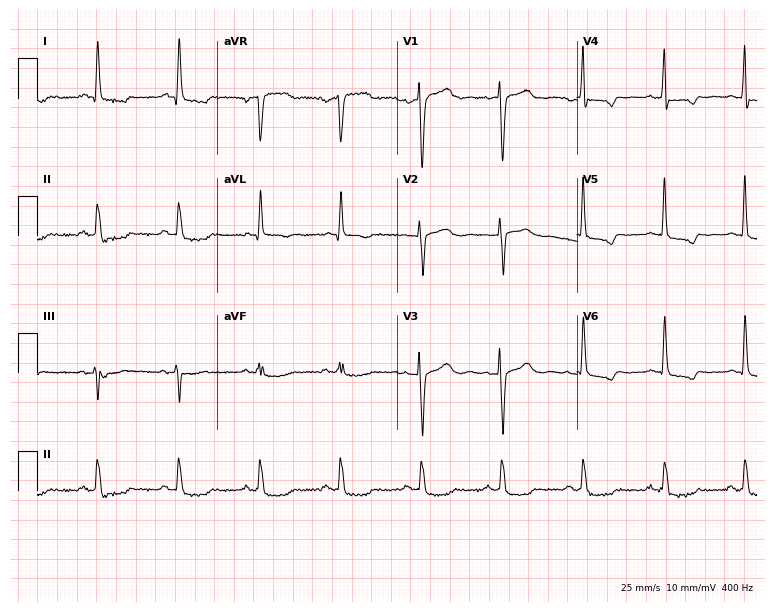
12-lead ECG from a 70-year-old woman. No first-degree AV block, right bundle branch block, left bundle branch block, sinus bradycardia, atrial fibrillation or sinus tachycardia recorded for this tracing. Other findings, if any, are not listed.